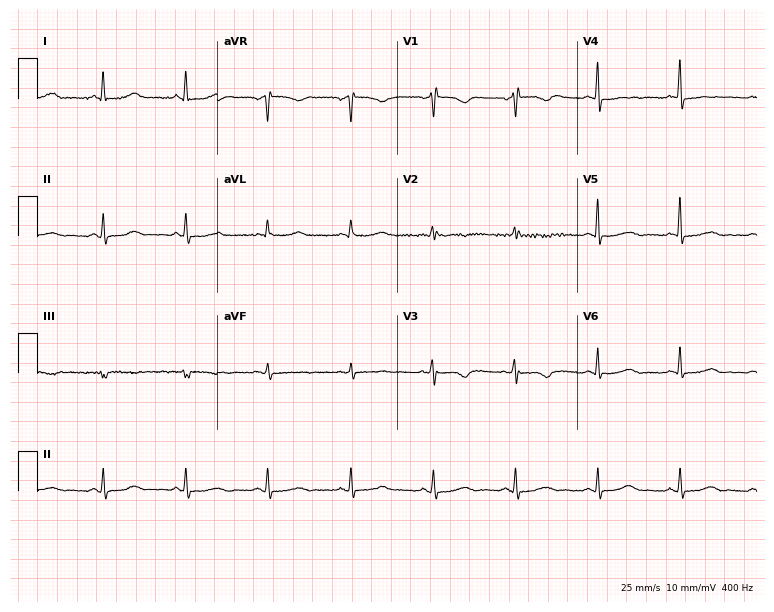
12-lead ECG from a female, 58 years old (7.3-second recording at 400 Hz). No first-degree AV block, right bundle branch block, left bundle branch block, sinus bradycardia, atrial fibrillation or sinus tachycardia recorded for this tracing. Only these six findings were labelled.